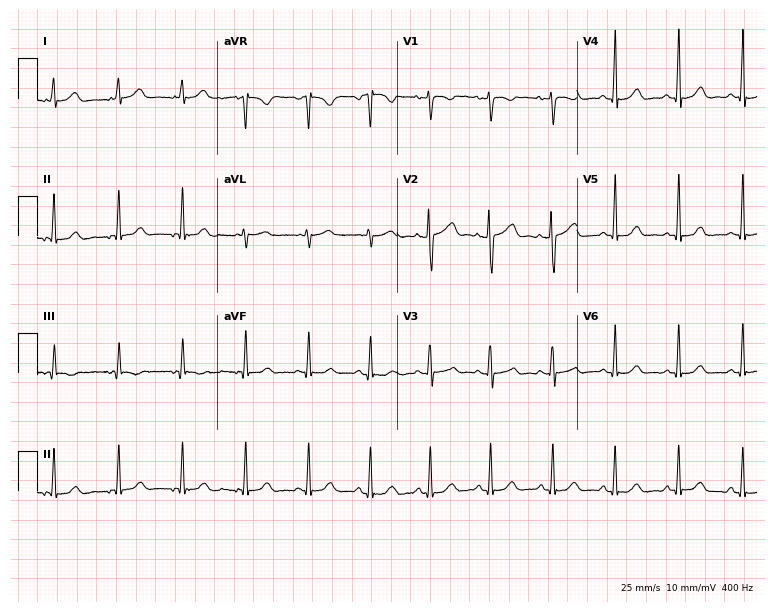
Electrocardiogram (7.3-second recording at 400 Hz), a female, 36 years old. Overall reading on record: normal ECG.